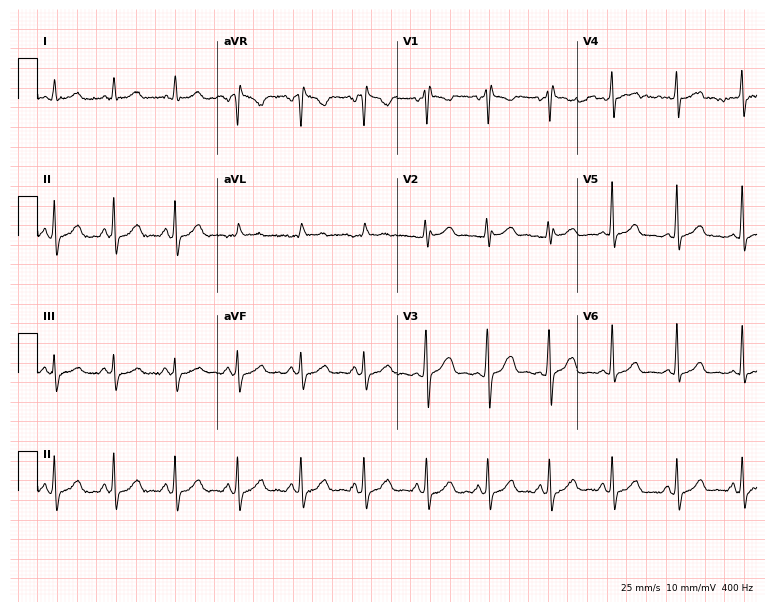
Standard 12-lead ECG recorded from a female, 30 years old. None of these six findings is recorded: first-degree AV block, right bundle branch block, left bundle branch block, sinus bradycardia, atrial fibrillation, sinus tachycardia.